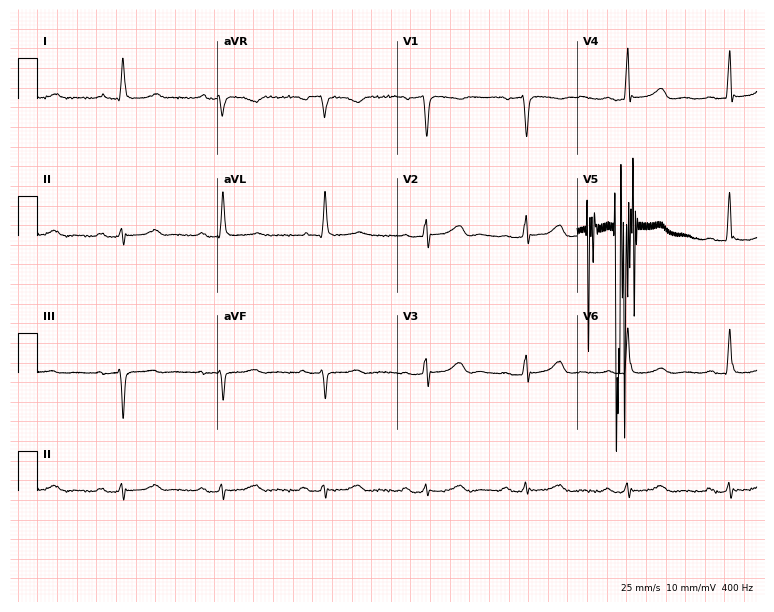
Electrocardiogram (7.3-second recording at 400 Hz), a 73-year-old male patient. Interpretation includes first-degree AV block.